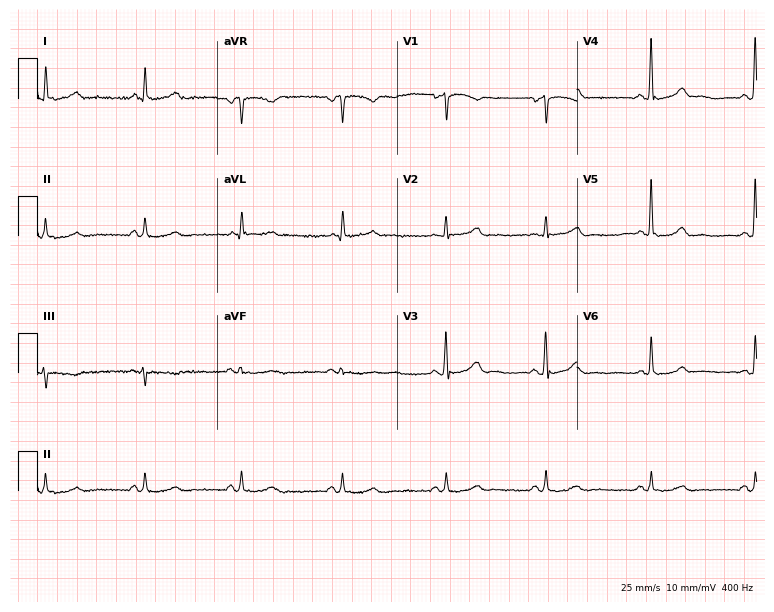
Electrocardiogram, a 51-year-old female patient. Overall reading on record: normal ECG.